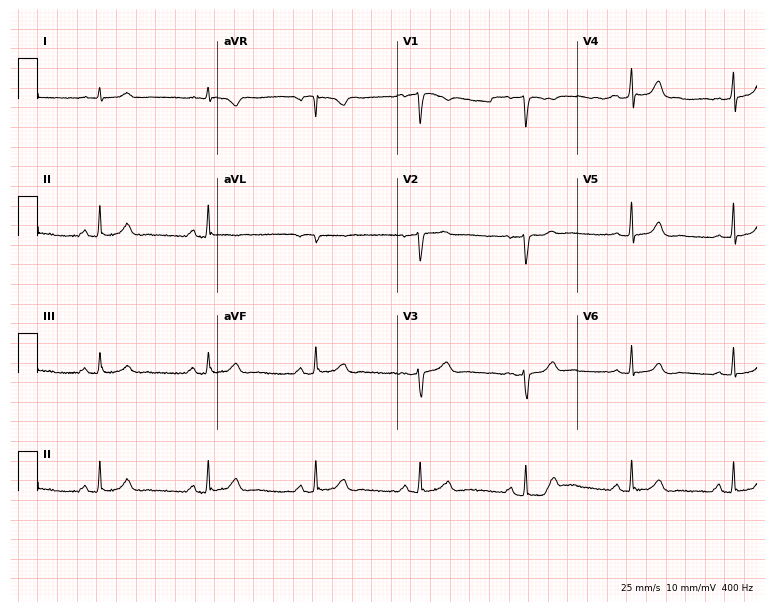
Resting 12-lead electrocardiogram (7.3-second recording at 400 Hz). Patient: a male, 53 years old. Read as a normal ECG.